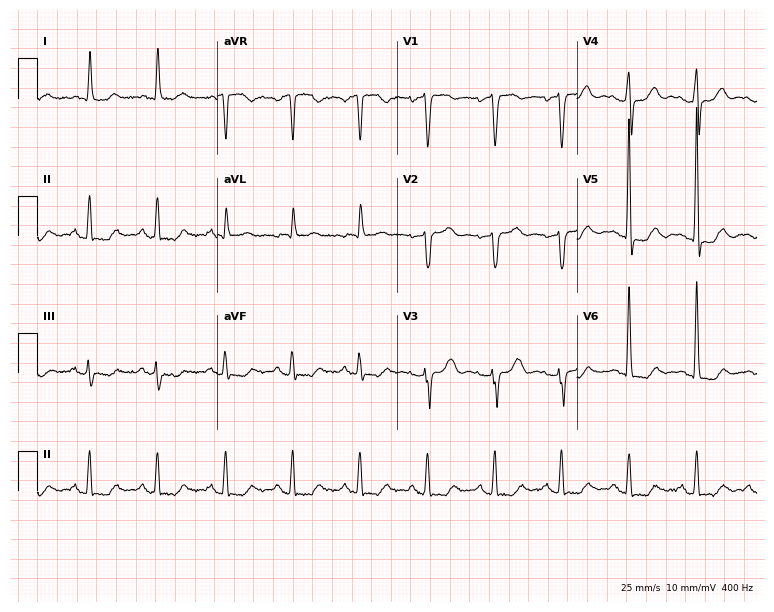
12-lead ECG from a female, 77 years old. No first-degree AV block, right bundle branch block, left bundle branch block, sinus bradycardia, atrial fibrillation or sinus tachycardia recorded for this tracing. Findings outside these six are not listed.